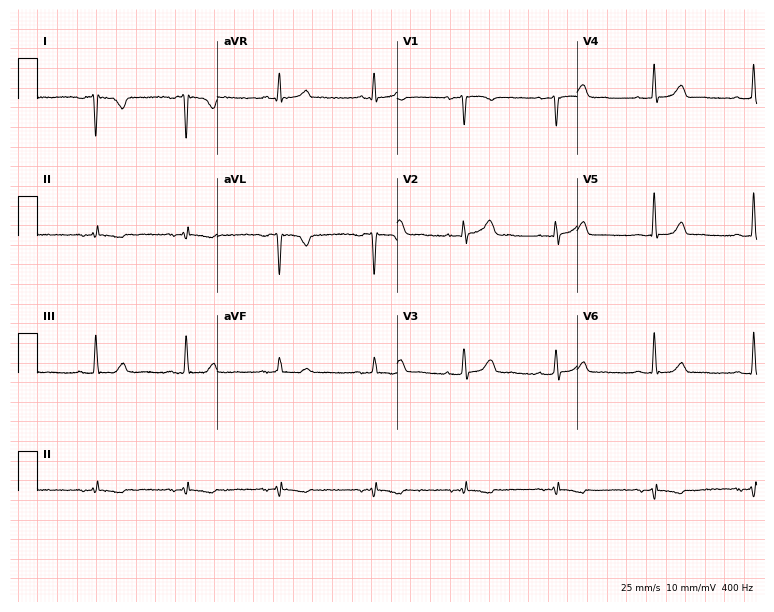
ECG — a 48-year-old man. Screened for six findings — first-degree AV block, right bundle branch block (RBBB), left bundle branch block (LBBB), sinus bradycardia, atrial fibrillation (AF), sinus tachycardia — none is recorded.